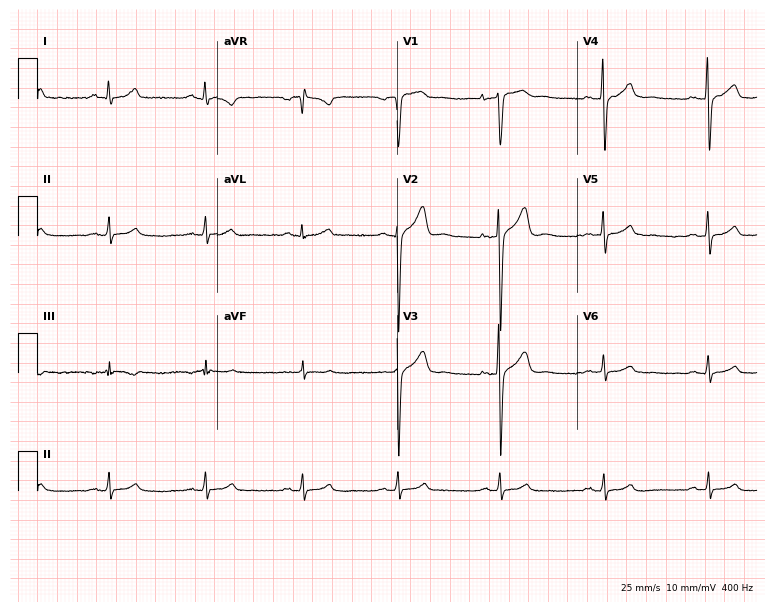
Resting 12-lead electrocardiogram. Patient: a male, 41 years old. Read as a normal ECG.